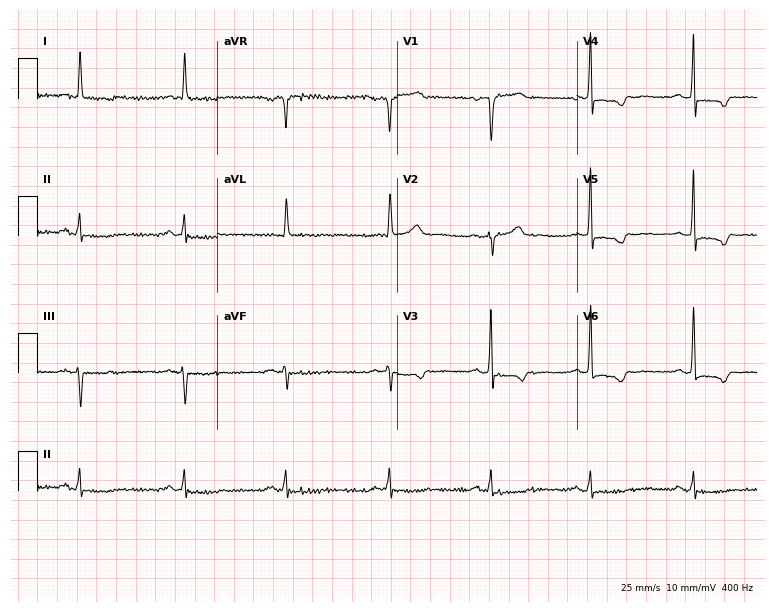
Resting 12-lead electrocardiogram (7.3-second recording at 400 Hz). Patient: a 68-year-old male. None of these six findings is recorded: first-degree AV block, right bundle branch block (RBBB), left bundle branch block (LBBB), sinus bradycardia, atrial fibrillation (AF), sinus tachycardia.